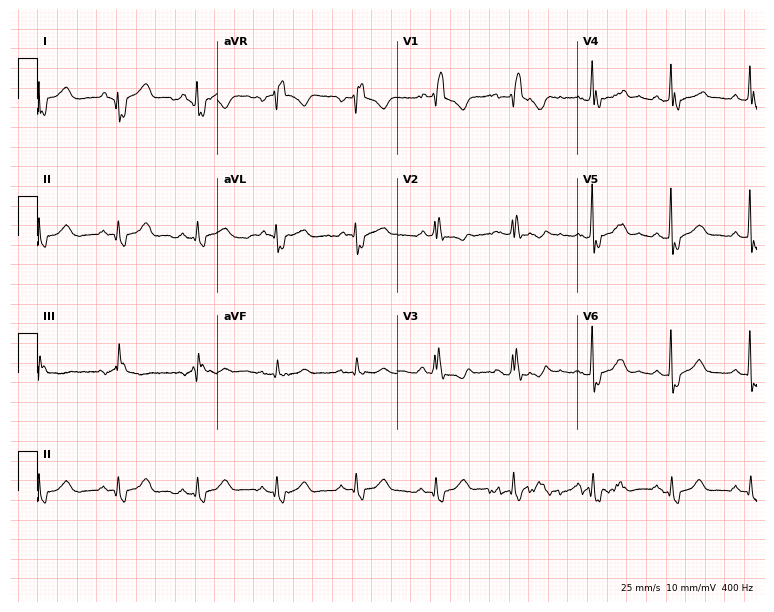
12-lead ECG (7.3-second recording at 400 Hz) from a 51-year-old woman. Findings include right bundle branch block.